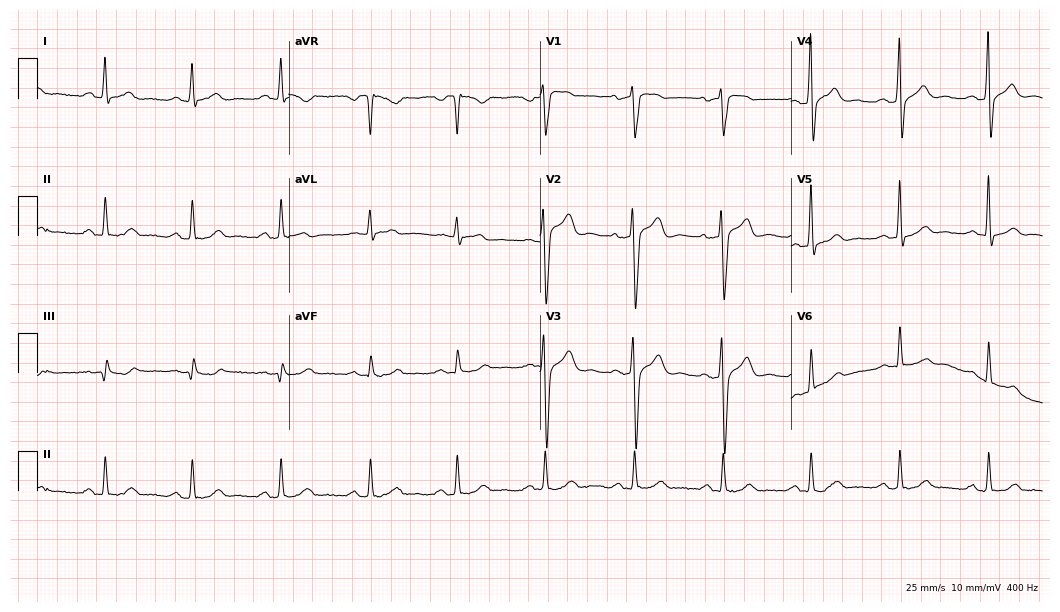
ECG — a 49-year-old male. Labelled as a normal ECG.